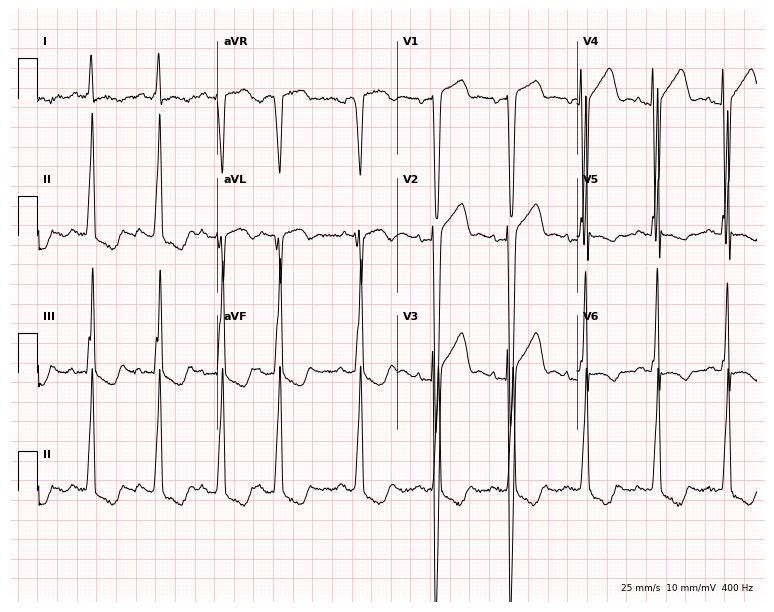
Electrocardiogram (7.3-second recording at 400 Hz), a 67-year-old female. Of the six screened findings (first-degree AV block, right bundle branch block, left bundle branch block, sinus bradycardia, atrial fibrillation, sinus tachycardia), none is recorded. Other findings, if any, are not listed.